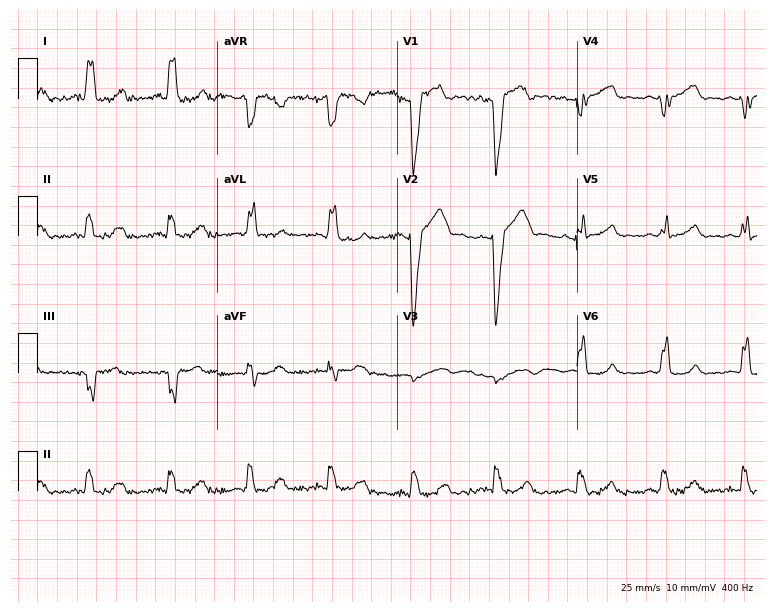
12-lead ECG from a female, 21 years old (7.3-second recording at 400 Hz). Shows left bundle branch block.